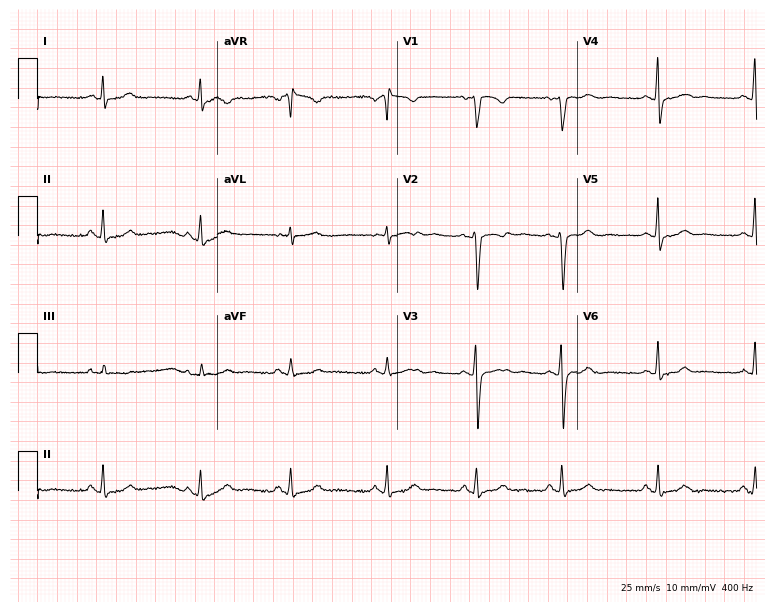
Standard 12-lead ECG recorded from a female, 25 years old (7.3-second recording at 400 Hz). Read as a normal ECG.